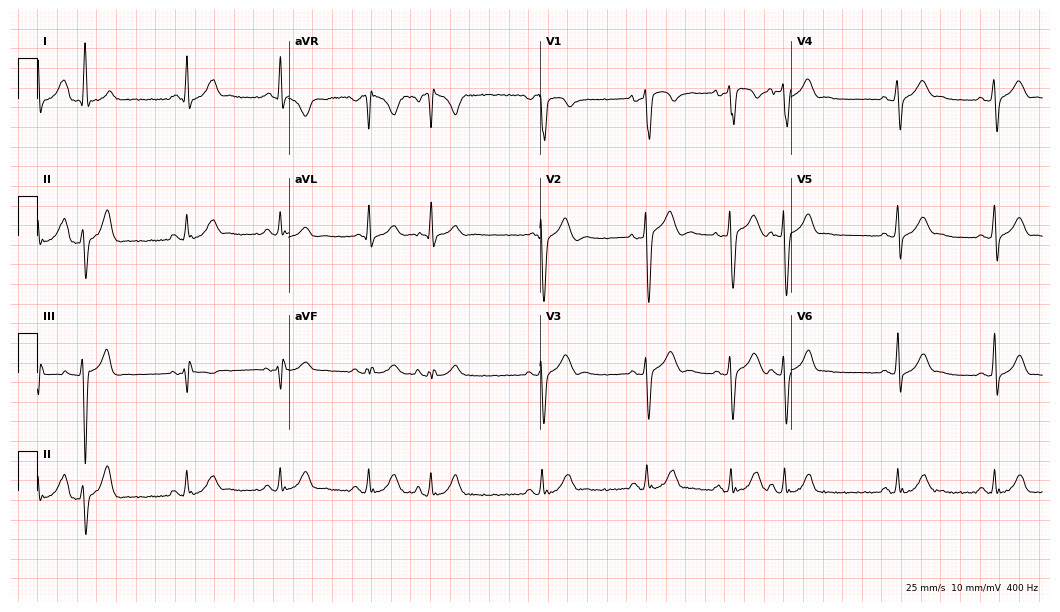
Resting 12-lead electrocardiogram. Patient: a man, 23 years old. None of these six findings is recorded: first-degree AV block, right bundle branch block, left bundle branch block, sinus bradycardia, atrial fibrillation, sinus tachycardia.